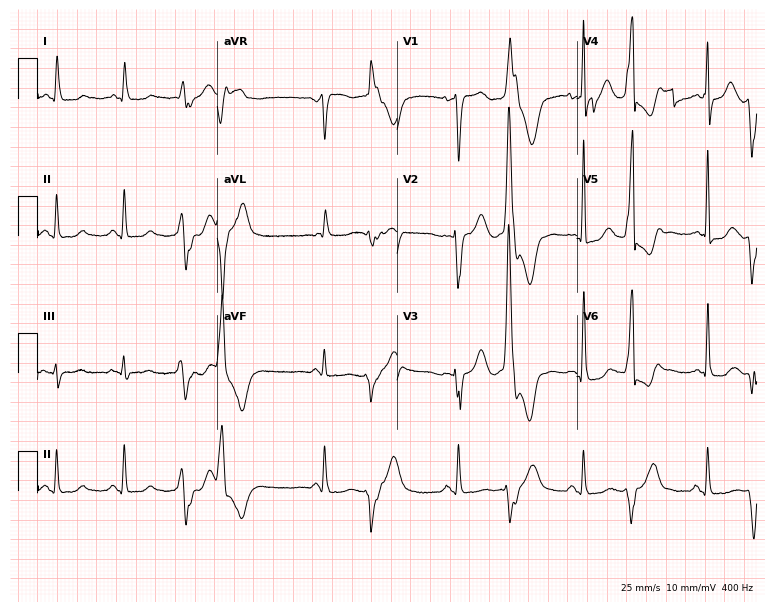
Electrocardiogram, a 57-year-old female patient. Of the six screened findings (first-degree AV block, right bundle branch block, left bundle branch block, sinus bradycardia, atrial fibrillation, sinus tachycardia), none is recorded.